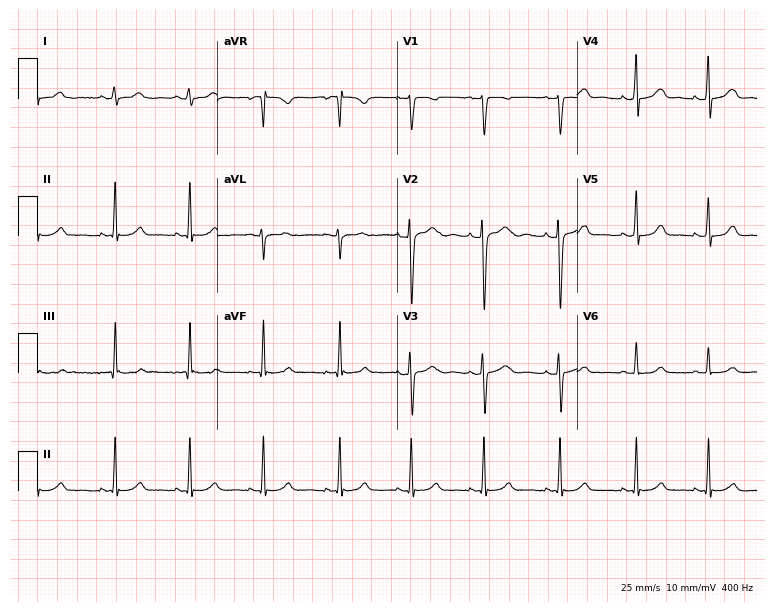
12-lead ECG (7.3-second recording at 400 Hz) from a 17-year-old woman. Labelled as a normal ECG.